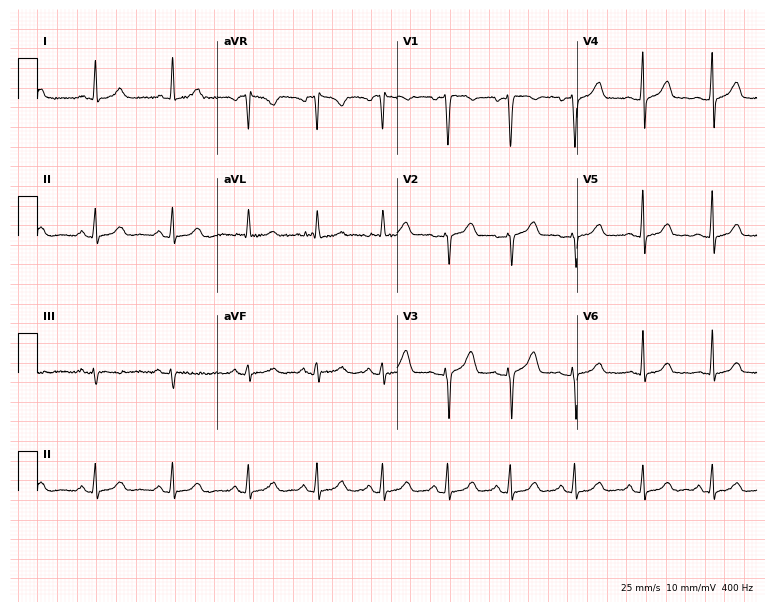
Resting 12-lead electrocardiogram. Patient: a 34-year-old female. Read as a normal ECG.